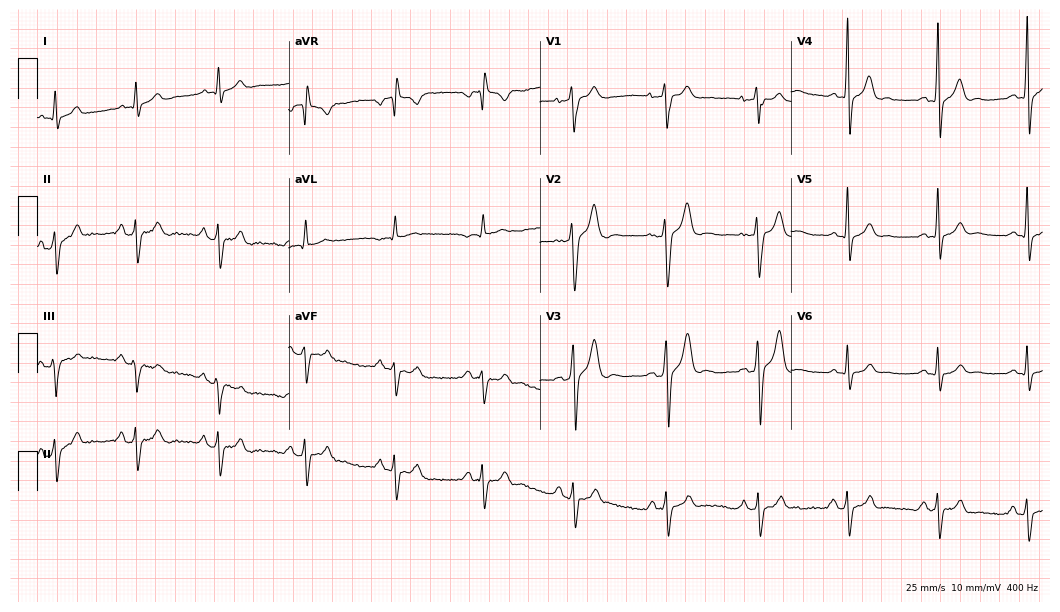
12-lead ECG from a 23-year-old man. No first-degree AV block, right bundle branch block, left bundle branch block, sinus bradycardia, atrial fibrillation or sinus tachycardia recorded for this tracing.